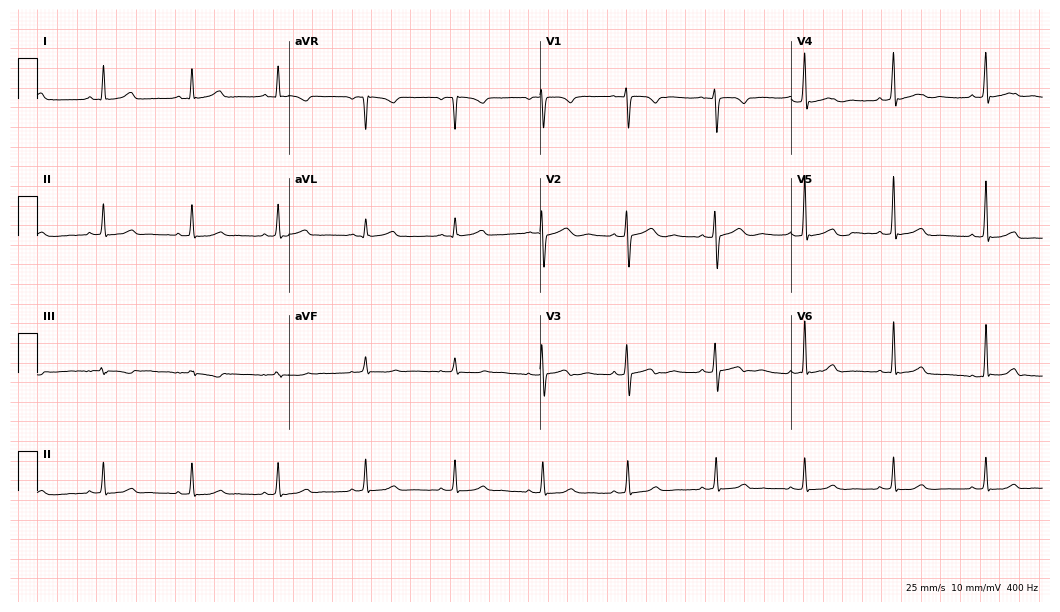
Electrocardiogram, a 41-year-old female. Overall reading on record: normal ECG.